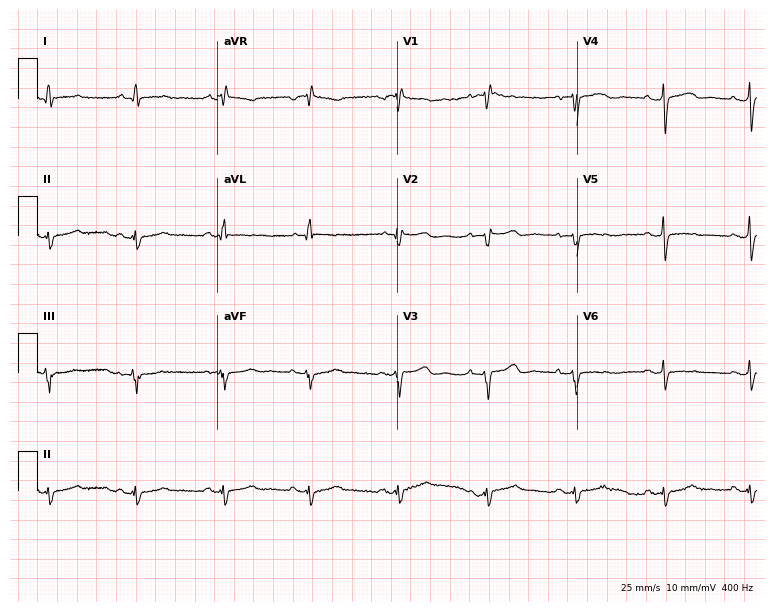
Resting 12-lead electrocardiogram (7.3-second recording at 400 Hz). Patient: a woman, 60 years old. None of these six findings is recorded: first-degree AV block, right bundle branch block (RBBB), left bundle branch block (LBBB), sinus bradycardia, atrial fibrillation (AF), sinus tachycardia.